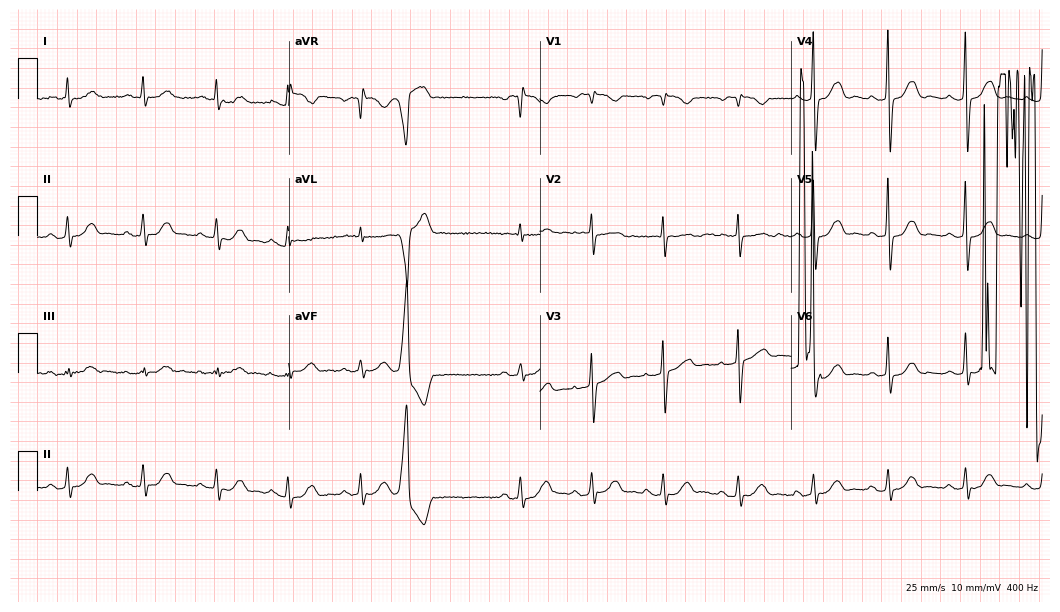
Resting 12-lead electrocardiogram (10.2-second recording at 400 Hz). Patient: a woman, 78 years old. None of these six findings is recorded: first-degree AV block, right bundle branch block (RBBB), left bundle branch block (LBBB), sinus bradycardia, atrial fibrillation (AF), sinus tachycardia. Only these six findings were labelled.